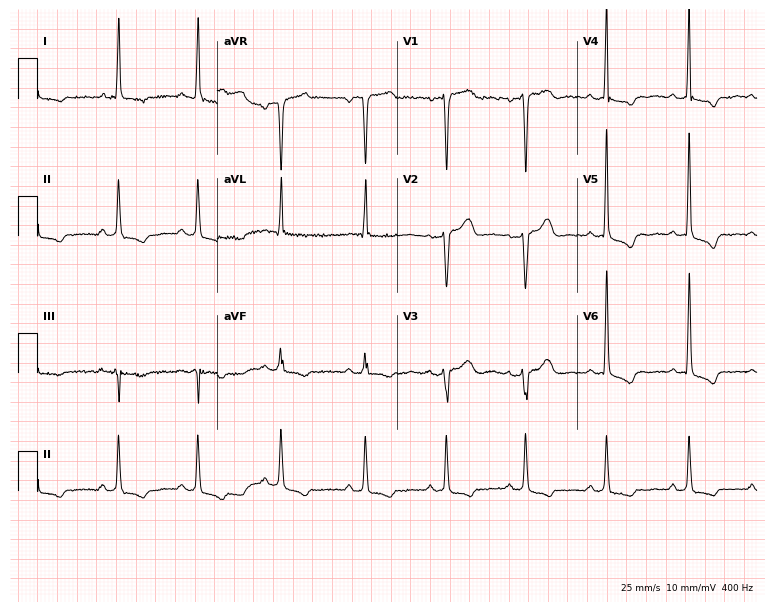
Standard 12-lead ECG recorded from a 46-year-old woman (7.3-second recording at 400 Hz). None of these six findings is recorded: first-degree AV block, right bundle branch block (RBBB), left bundle branch block (LBBB), sinus bradycardia, atrial fibrillation (AF), sinus tachycardia. Findings outside these six are not listed.